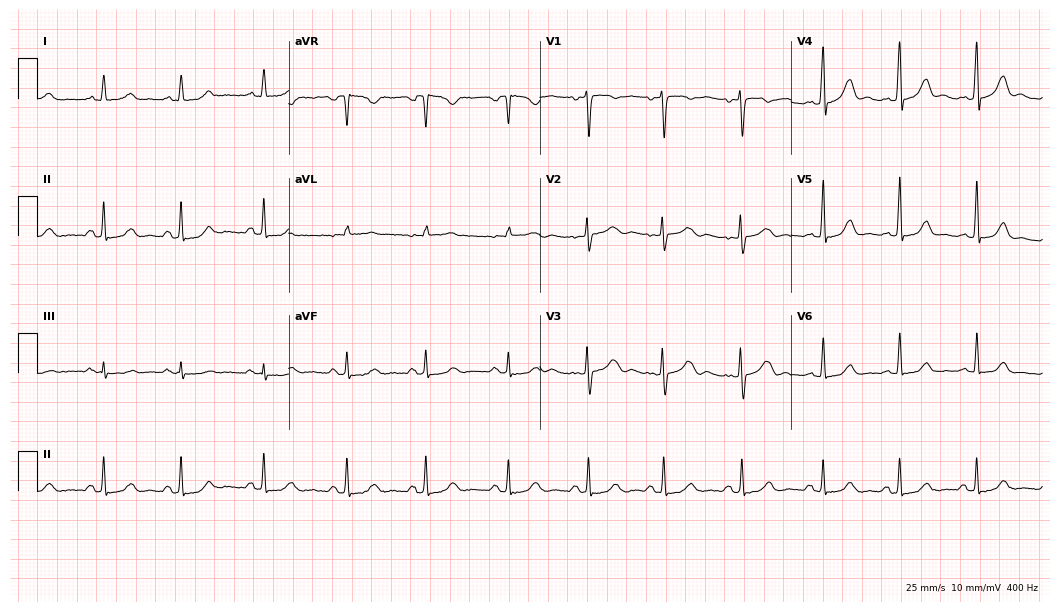
12-lead ECG (10.2-second recording at 400 Hz) from a female, 30 years old. Screened for six findings — first-degree AV block, right bundle branch block, left bundle branch block, sinus bradycardia, atrial fibrillation, sinus tachycardia — none is recorded.